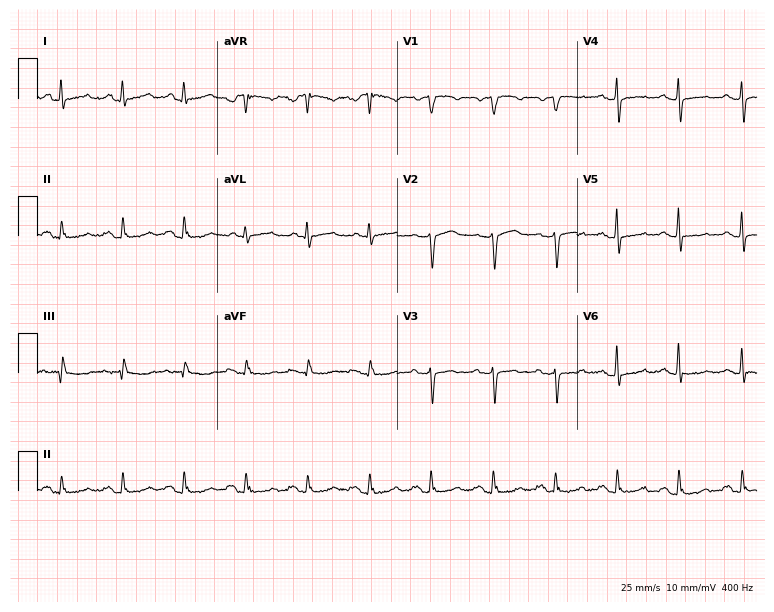
12-lead ECG from a 57-year-old woman (7.3-second recording at 400 Hz). Recorded interpretation: within normal limits.